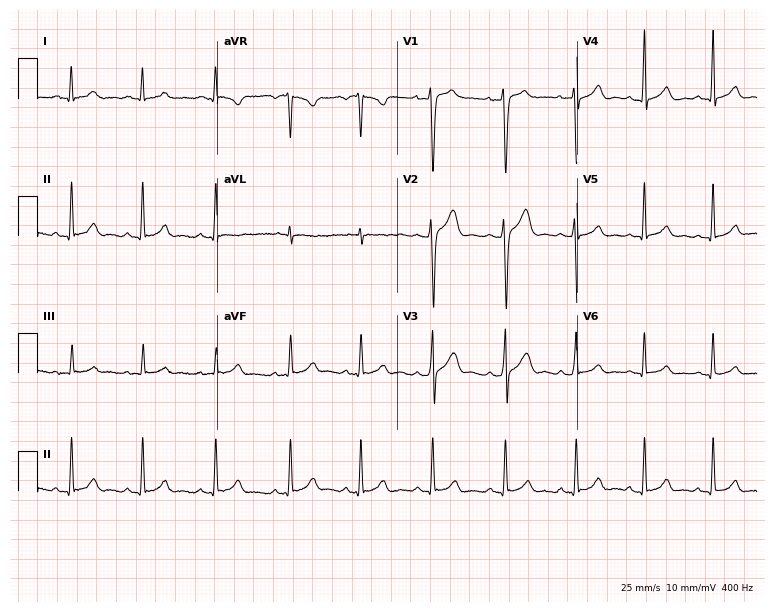
Standard 12-lead ECG recorded from a 28-year-old female patient. Read as a normal ECG.